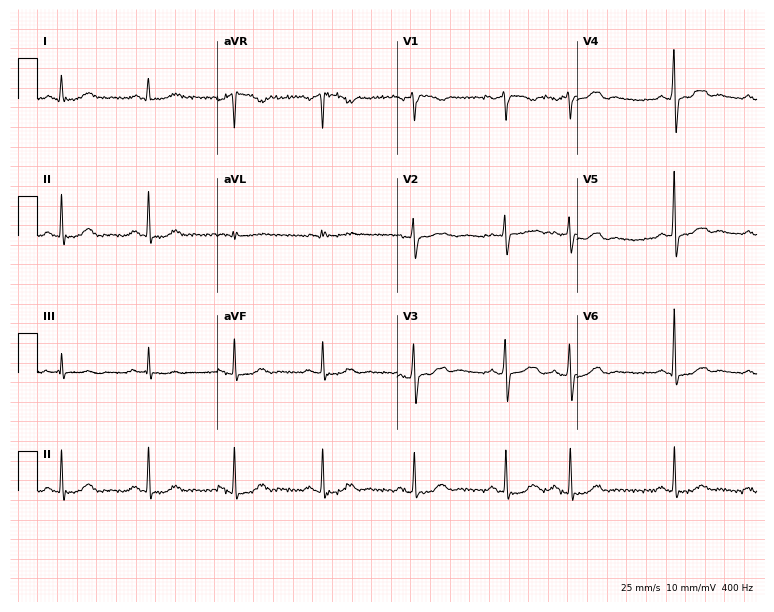
12-lead ECG (7.3-second recording at 400 Hz) from a woman, 68 years old. Screened for six findings — first-degree AV block, right bundle branch block, left bundle branch block, sinus bradycardia, atrial fibrillation, sinus tachycardia — none is recorded.